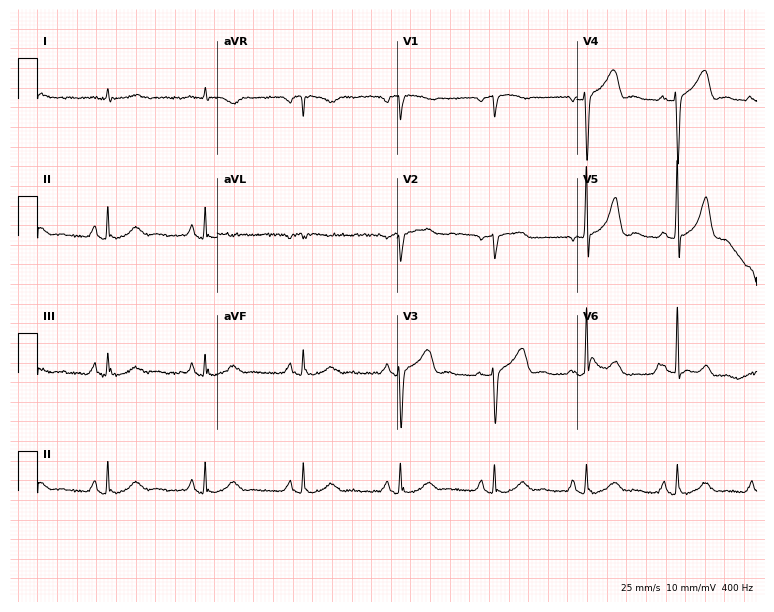
Standard 12-lead ECG recorded from a 67-year-old male patient. None of these six findings is recorded: first-degree AV block, right bundle branch block (RBBB), left bundle branch block (LBBB), sinus bradycardia, atrial fibrillation (AF), sinus tachycardia. Other findings, if any, are not listed.